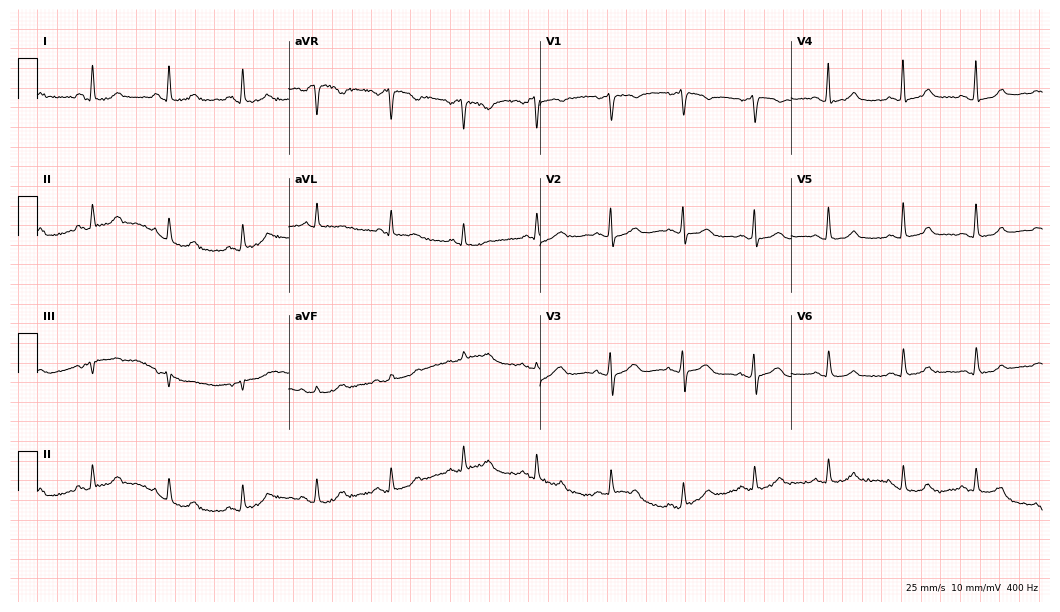
ECG — a 57-year-old female. Labelled as a normal ECG.